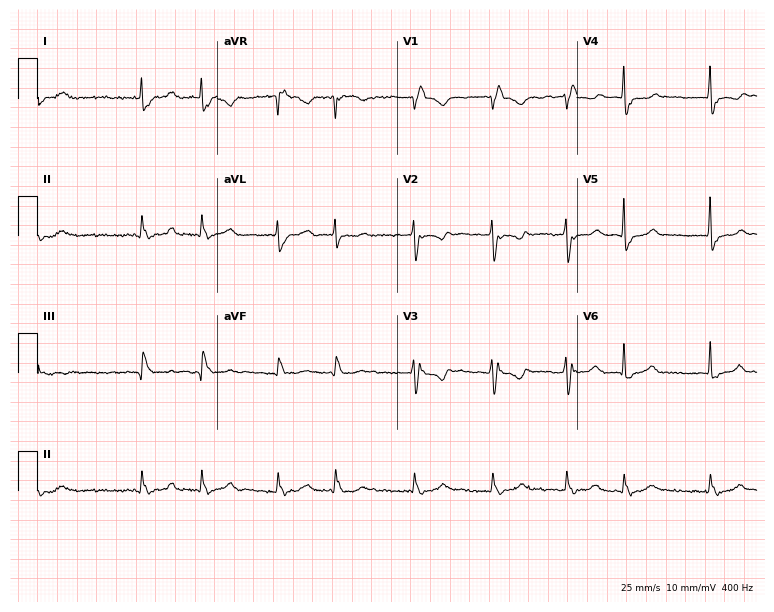
Standard 12-lead ECG recorded from a female, 63 years old. The tracing shows right bundle branch block, atrial fibrillation.